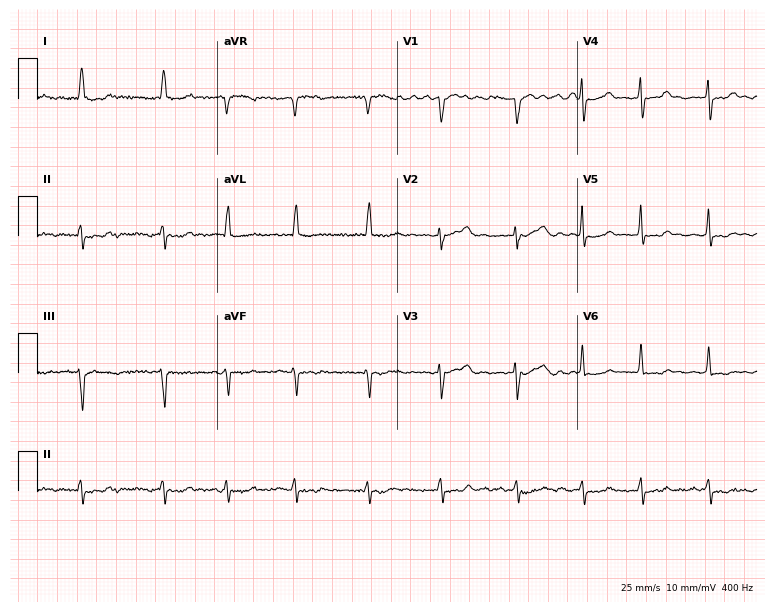
ECG (7.3-second recording at 400 Hz) — a 61-year-old woman. Findings include atrial fibrillation.